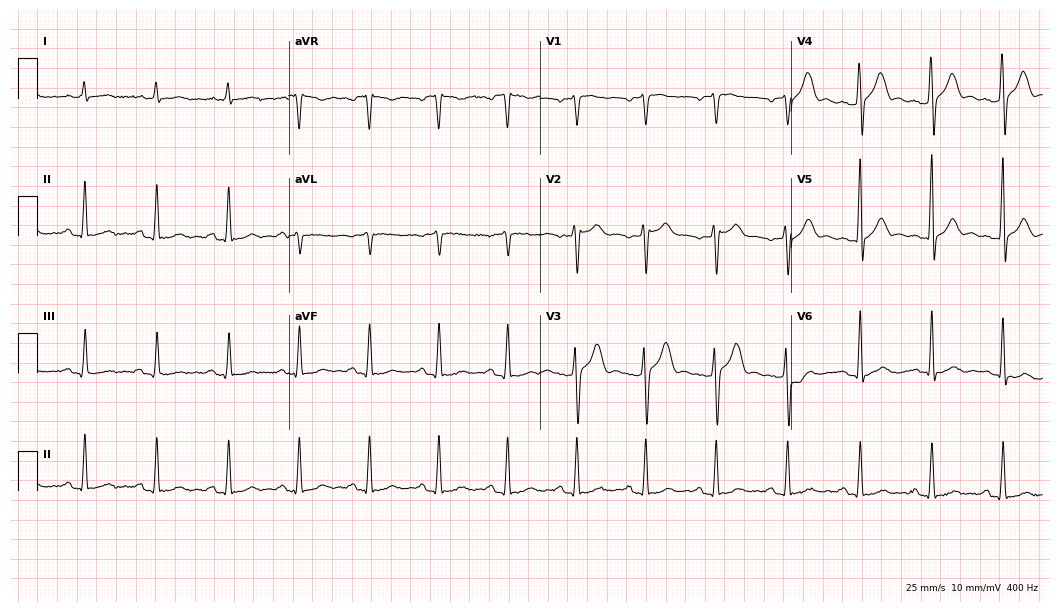
12-lead ECG from a 50-year-old male patient (10.2-second recording at 400 Hz). No first-degree AV block, right bundle branch block (RBBB), left bundle branch block (LBBB), sinus bradycardia, atrial fibrillation (AF) or sinus tachycardia recorded for this tracing. Other findings, if any, are not listed.